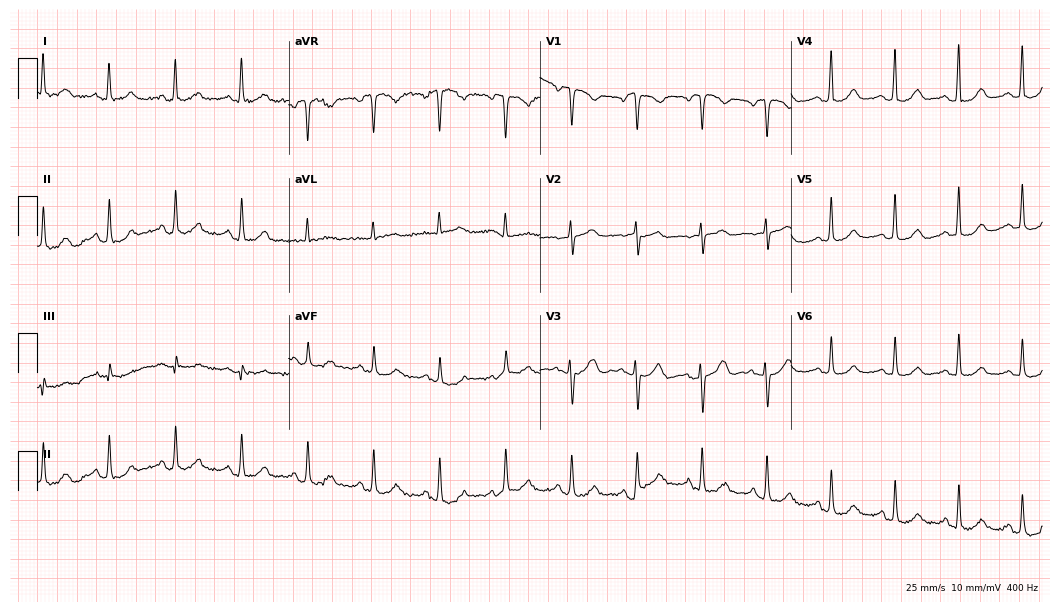
Resting 12-lead electrocardiogram. Patient: a 56-year-old female. Read as a normal ECG.